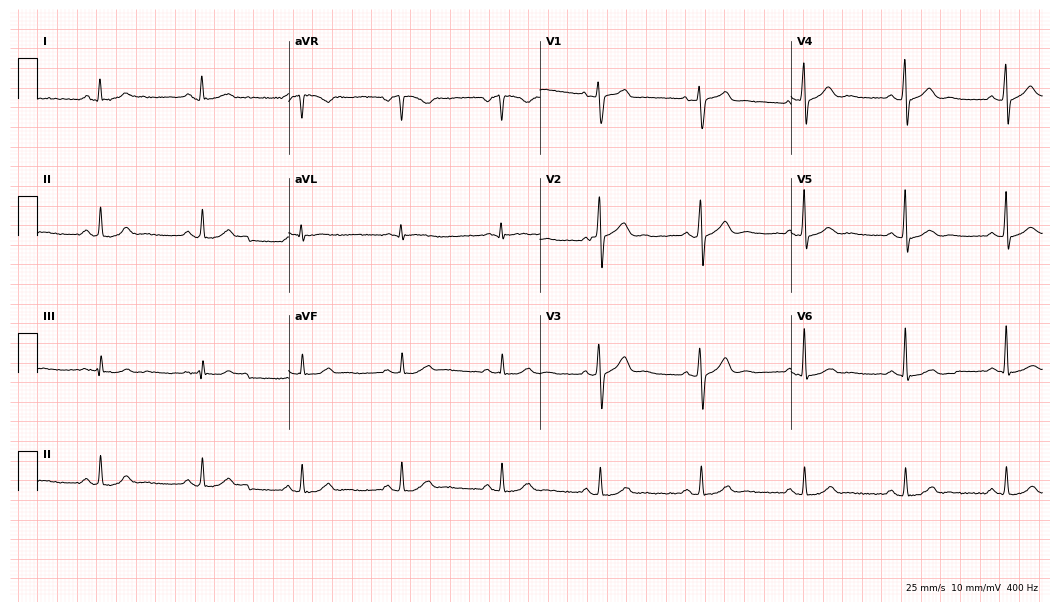
12-lead ECG from a 34-year-old male. No first-degree AV block, right bundle branch block (RBBB), left bundle branch block (LBBB), sinus bradycardia, atrial fibrillation (AF) or sinus tachycardia recorded for this tracing. Only these six findings were labelled.